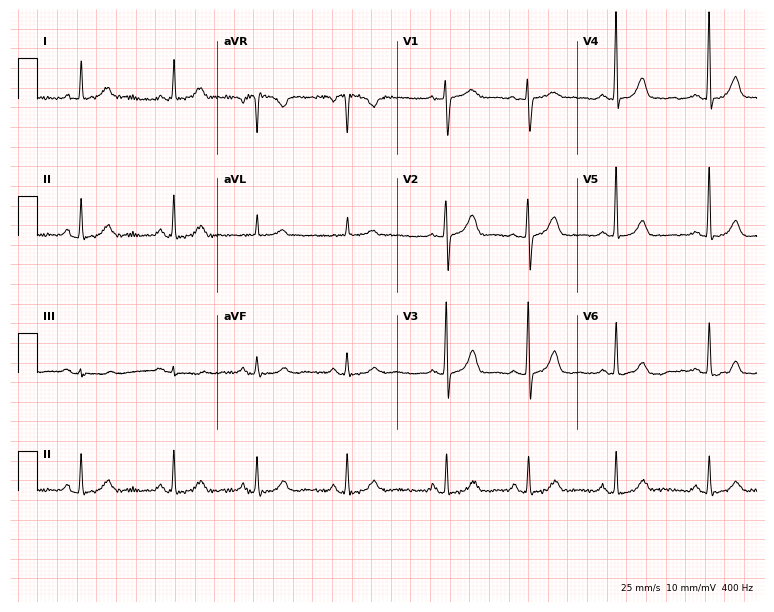
Standard 12-lead ECG recorded from a 77-year-old female. Read as a normal ECG.